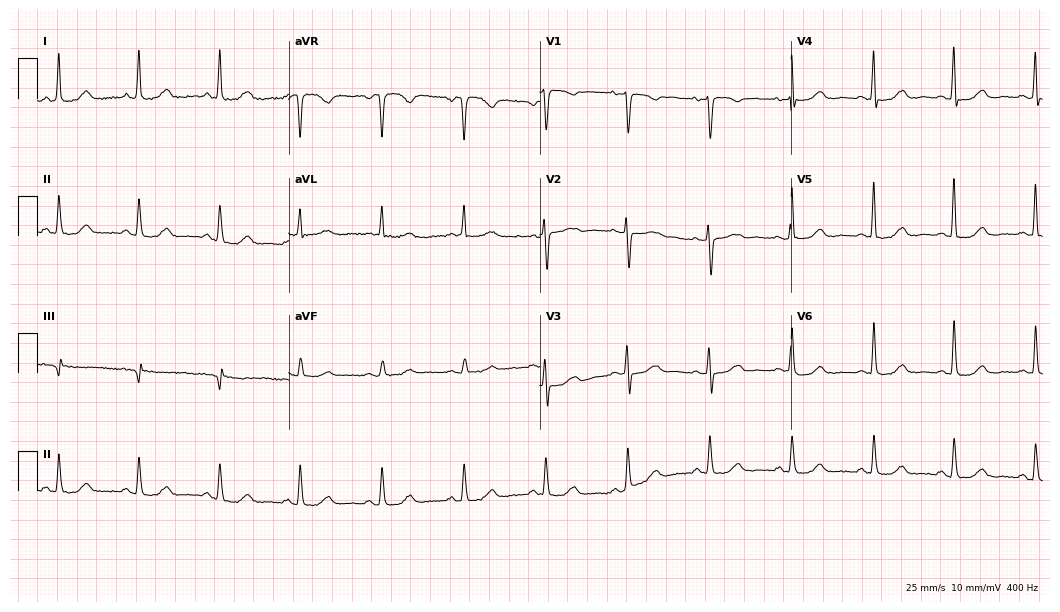
Electrocardiogram (10.2-second recording at 400 Hz), a female, 69 years old. Overall reading on record: normal ECG.